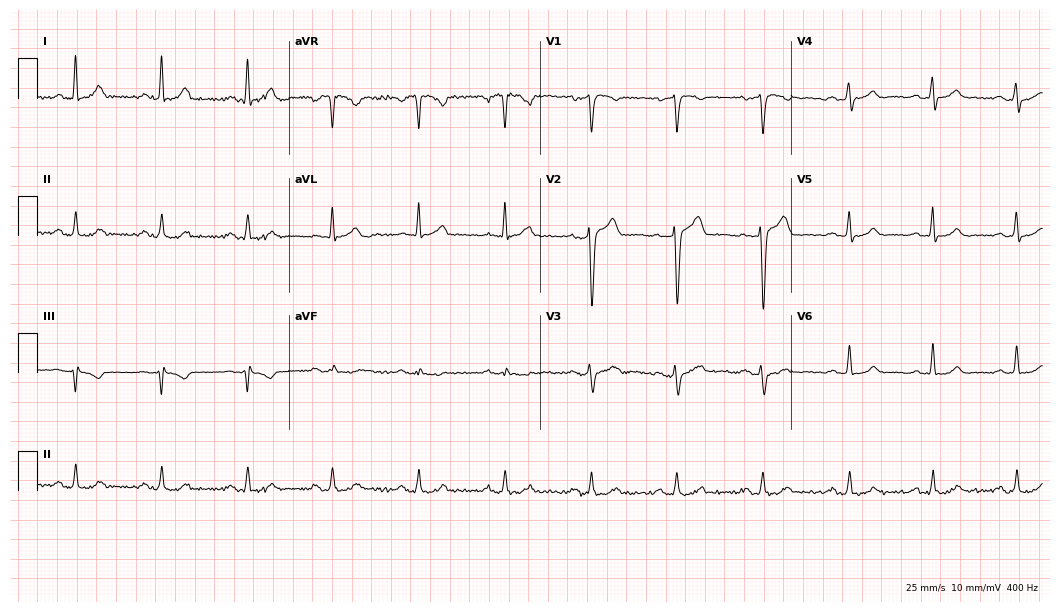
12-lead ECG from a man, 36 years old. Labelled as a normal ECG.